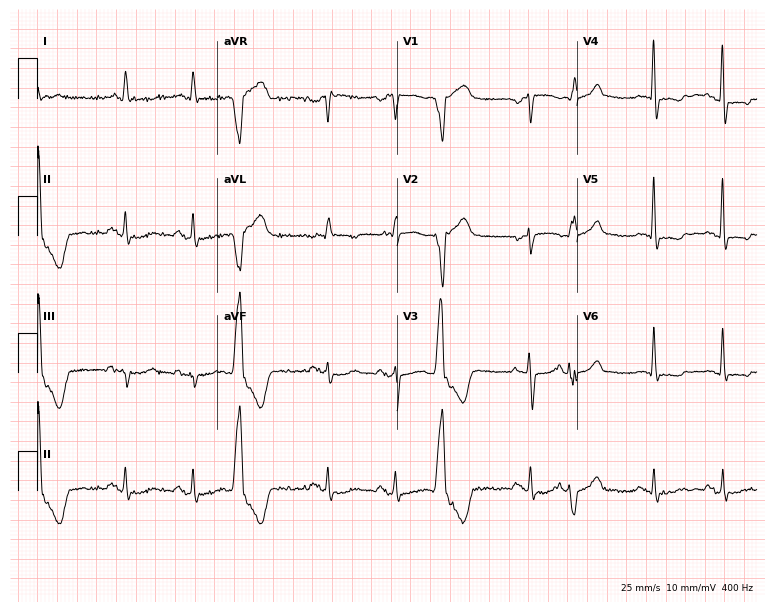
12-lead ECG from a 76-year-old male patient (7.3-second recording at 400 Hz). No first-degree AV block, right bundle branch block (RBBB), left bundle branch block (LBBB), sinus bradycardia, atrial fibrillation (AF) or sinus tachycardia recorded for this tracing.